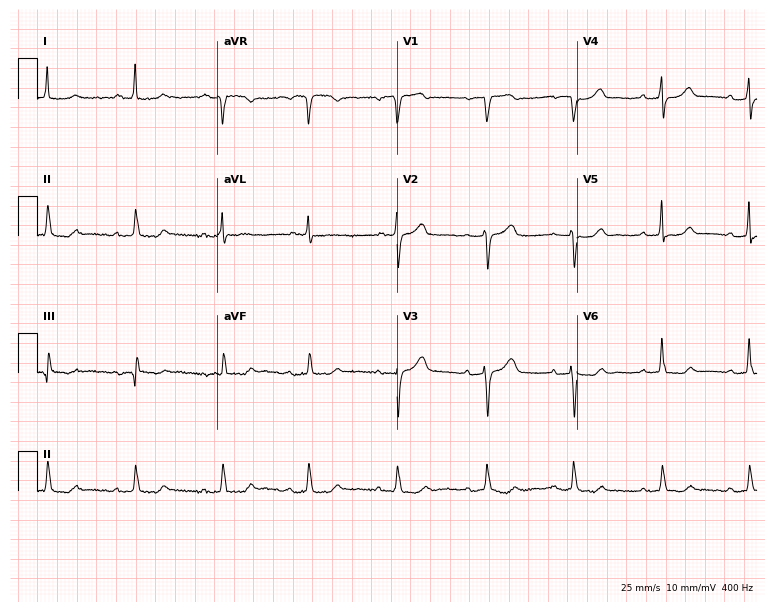
Electrocardiogram, a 73-year-old female. Of the six screened findings (first-degree AV block, right bundle branch block, left bundle branch block, sinus bradycardia, atrial fibrillation, sinus tachycardia), none is recorded. Only these six findings were labelled.